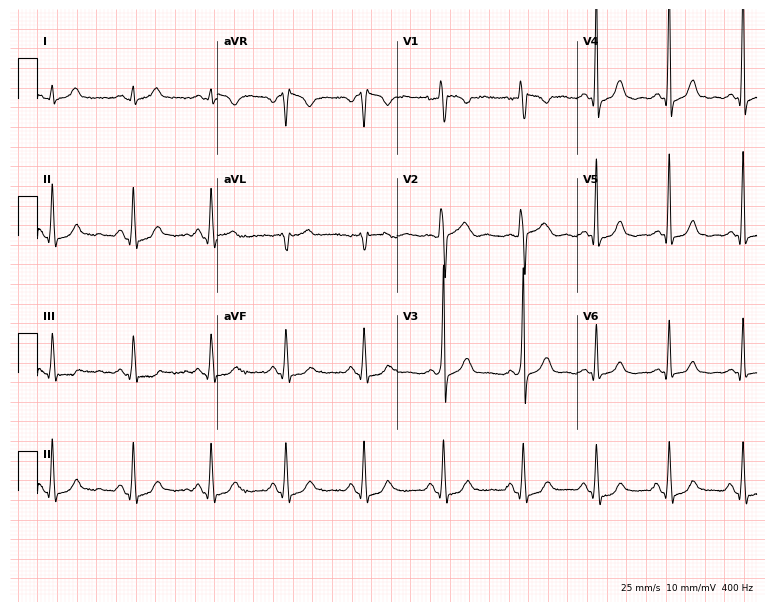
12-lead ECG from a 36-year-old man. Labelled as a normal ECG.